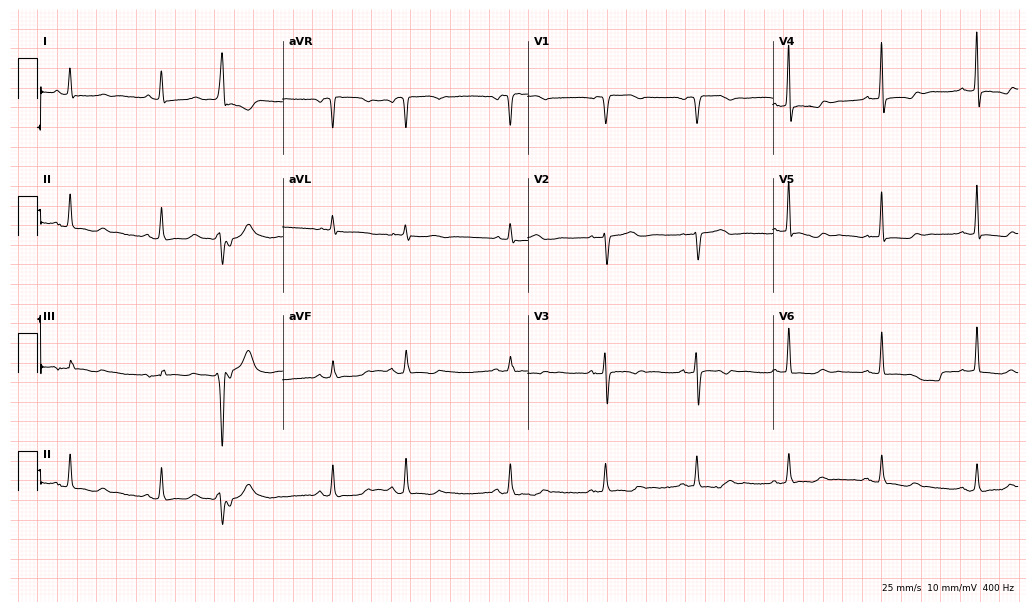
Standard 12-lead ECG recorded from a female patient, 80 years old. None of these six findings is recorded: first-degree AV block, right bundle branch block, left bundle branch block, sinus bradycardia, atrial fibrillation, sinus tachycardia. Other findings, if any, are not listed.